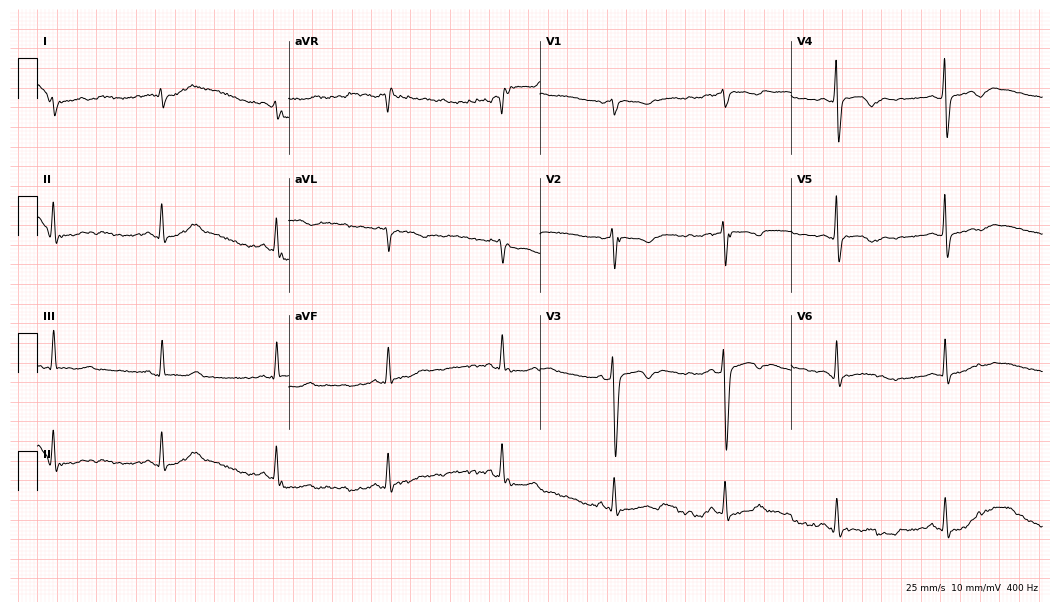
12-lead ECG from a 33-year-old male patient. No first-degree AV block, right bundle branch block, left bundle branch block, sinus bradycardia, atrial fibrillation or sinus tachycardia recorded for this tracing. Other findings, if any, are not listed.